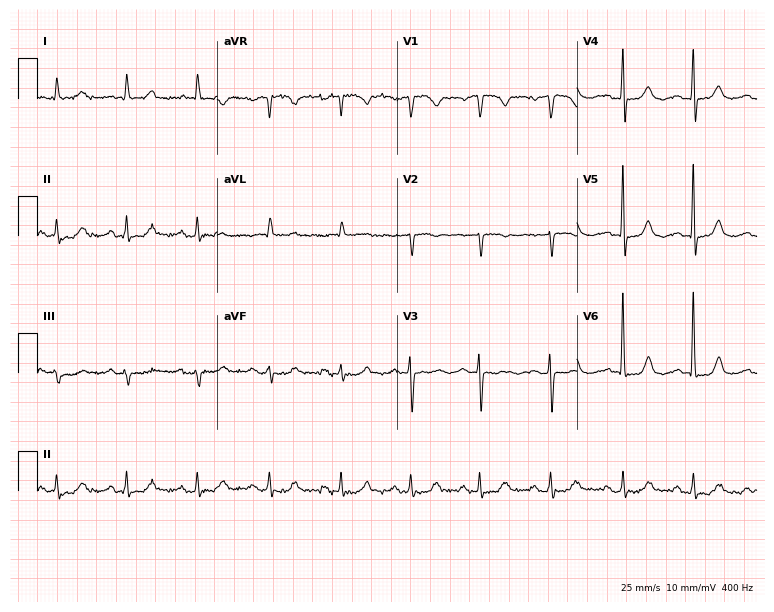
12-lead ECG from a woman, 76 years old. Screened for six findings — first-degree AV block, right bundle branch block (RBBB), left bundle branch block (LBBB), sinus bradycardia, atrial fibrillation (AF), sinus tachycardia — none is recorded.